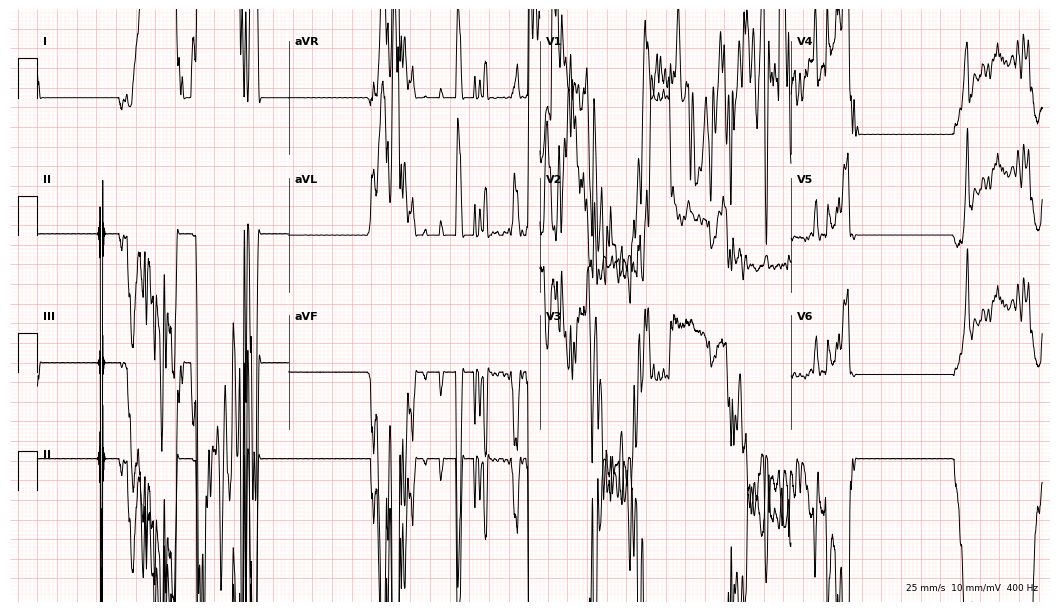
Electrocardiogram, a 42-year-old woman. Of the six screened findings (first-degree AV block, right bundle branch block (RBBB), left bundle branch block (LBBB), sinus bradycardia, atrial fibrillation (AF), sinus tachycardia), none is recorded.